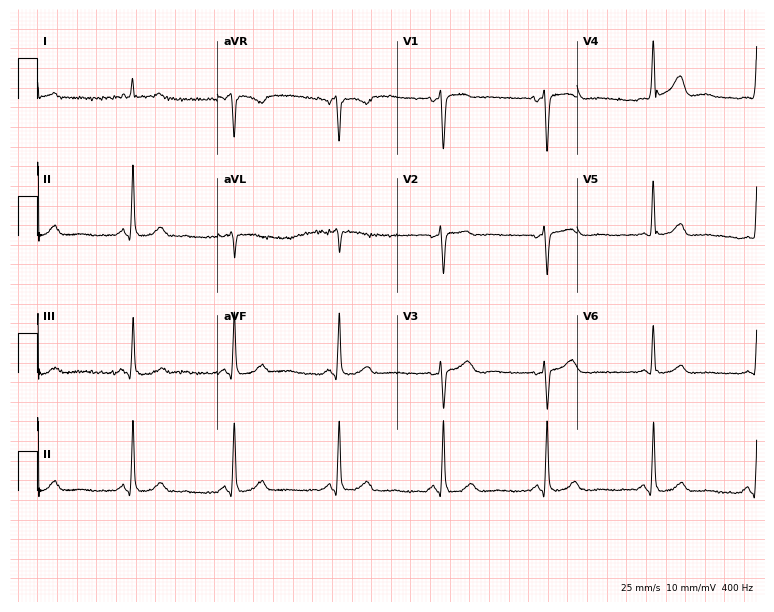
12-lead ECG (7.3-second recording at 400 Hz) from a man, 55 years old. Labelled as a normal ECG.